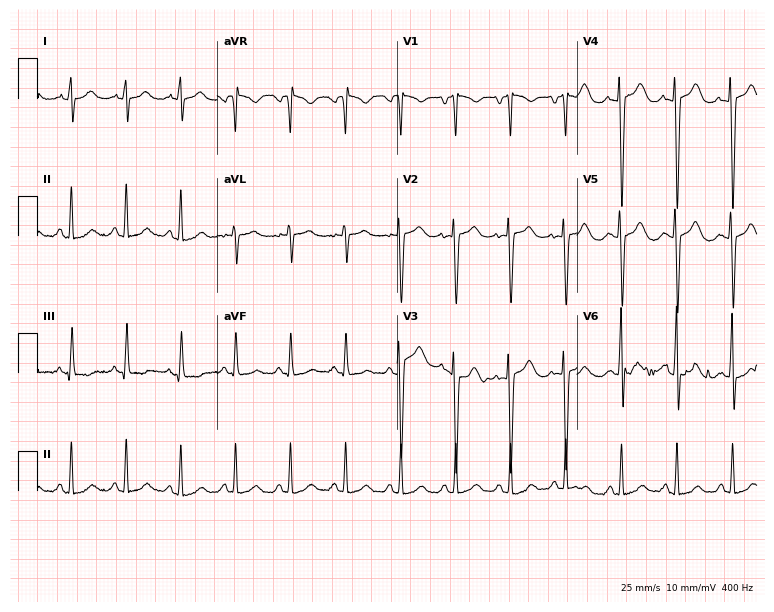
12-lead ECG (7.3-second recording at 400 Hz) from a female patient, 49 years old. Findings include sinus tachycardia (a sinus rate of 100 beats per minute or more).